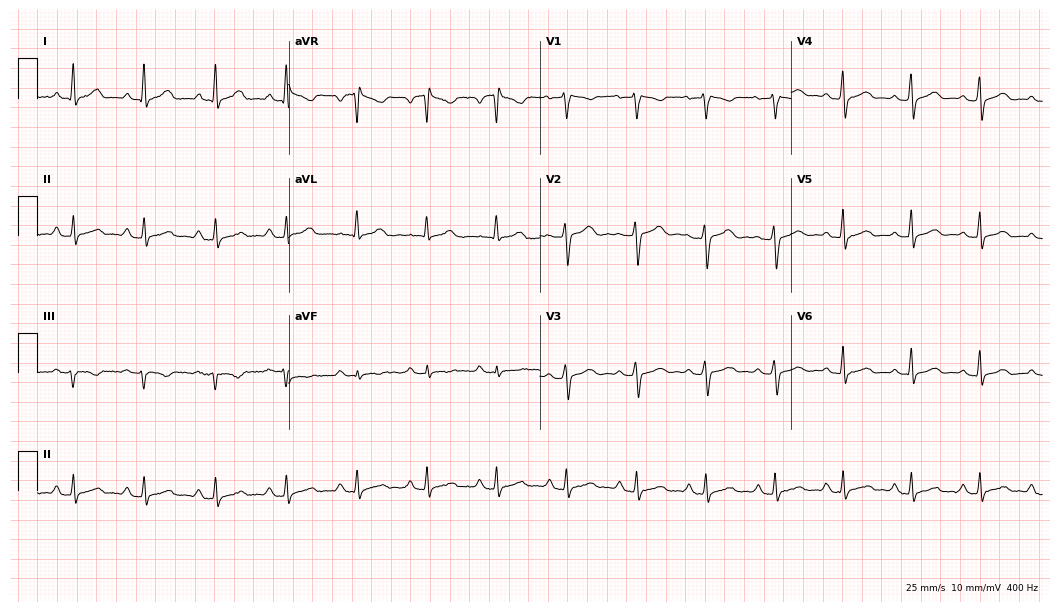
Resting 12-lead electrocardiogram (10.2-second recording at 400 Hz). Patient: a 44-year-old woman. Read as a normal ECG.